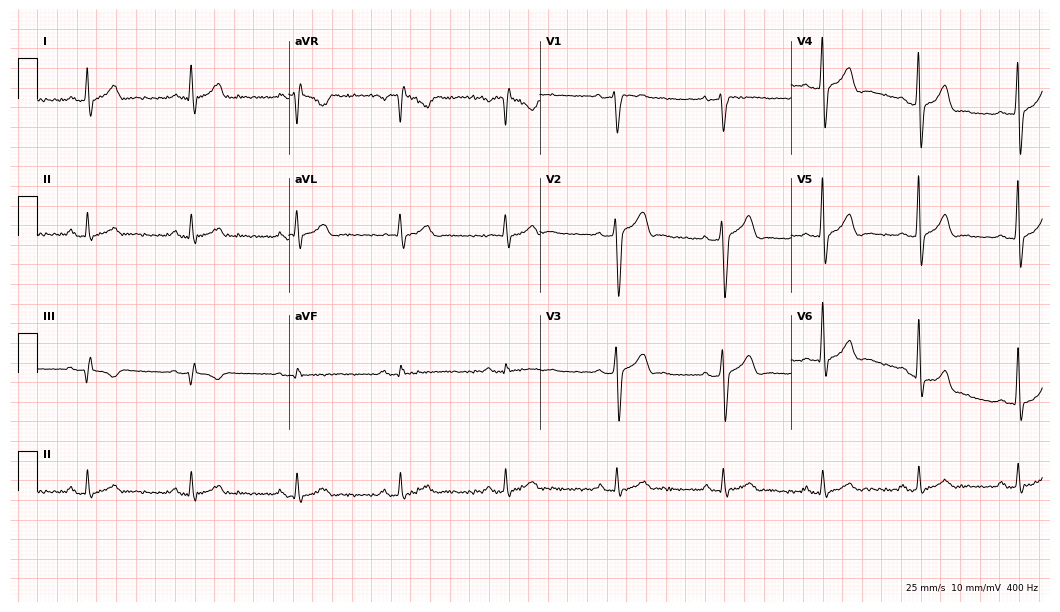
12-lead ECG from a male, 39 years old. Labelled as a normal ECG.